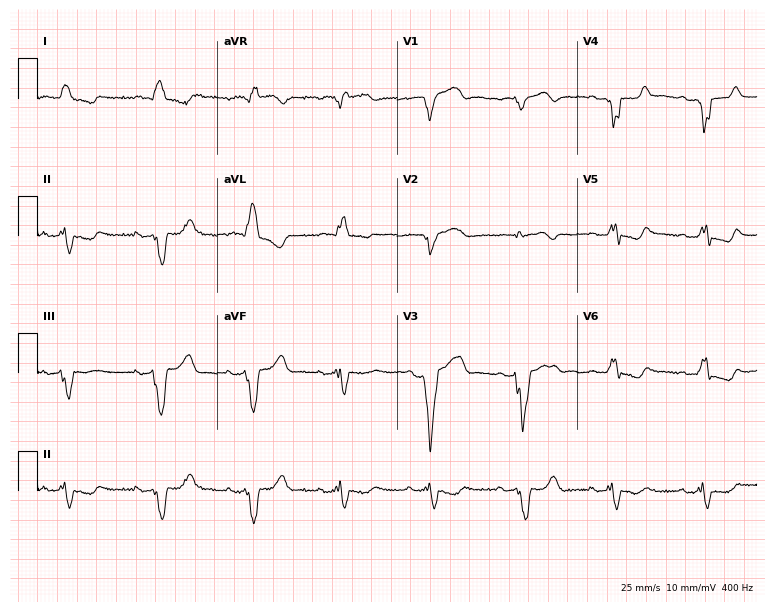
ECG — a male patient, 77 years old. Findings include left bundle branch block.